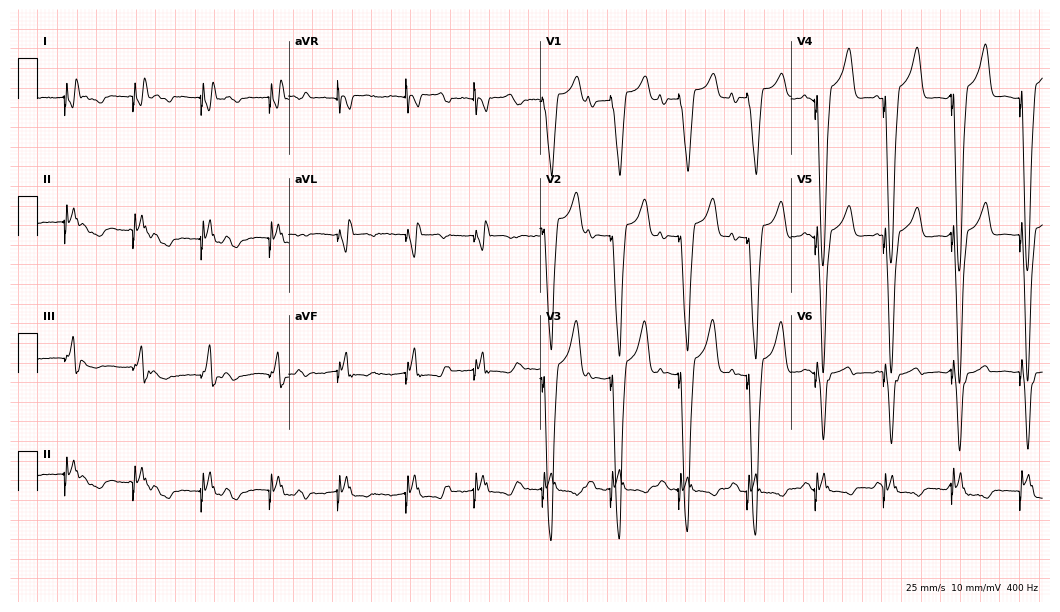
12-lead ECG from a female, 81 years old. Screened for six findings — first-degree AV block, right bundle branch block, left bundle branch block, sinus bradycardia, atrial fibrillation, sinus tachycardia — none is recorded. Other findings, if any, are not listed.